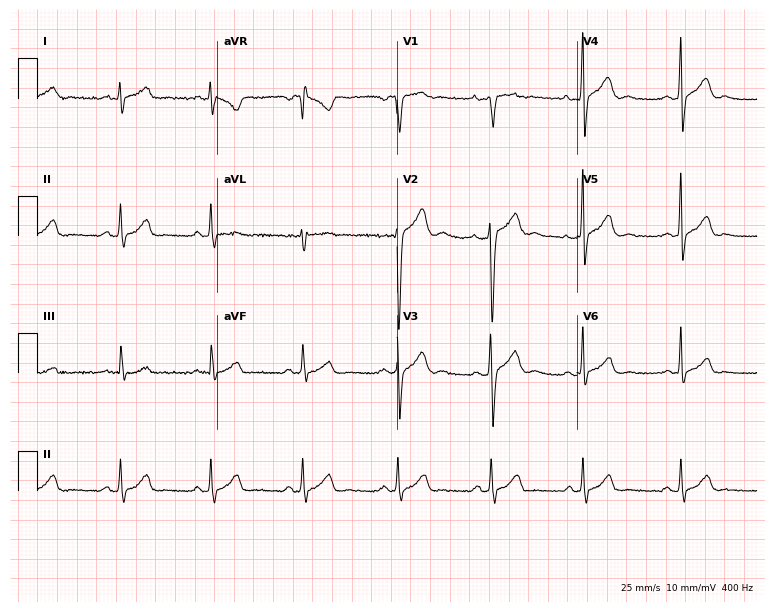
Resting 12-lead electrocardiogram (7.3-second recording at 400 Hz). Patient: a 20-year-old male. None of these six findings is recorded: first-degree AV block, right bundle branch block (RBBB), left bundle branch block (LBBB), sinus bradycardia, atrial fibrillation (AF), sinus tachycardia.